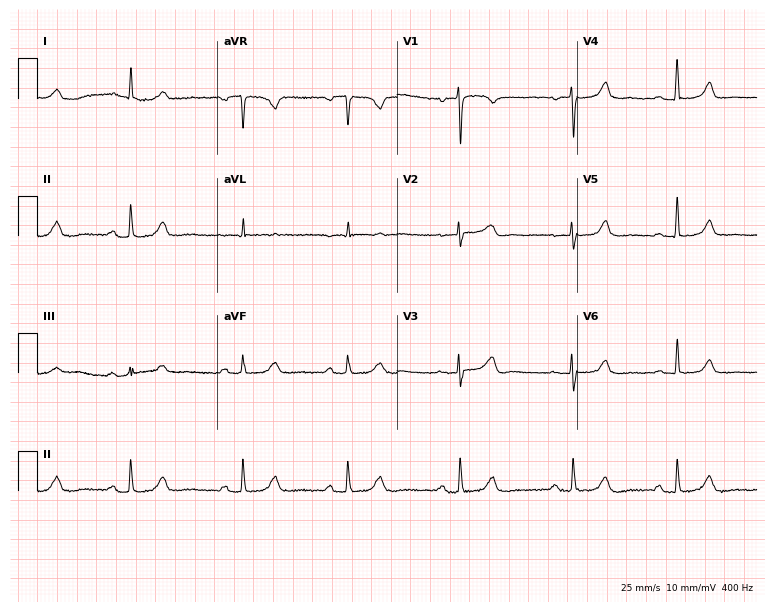
Electrocardiogram (7.3-second recording at 400 Hz), a female patient, 50 years old. Interpretation includes first-degree AV block.